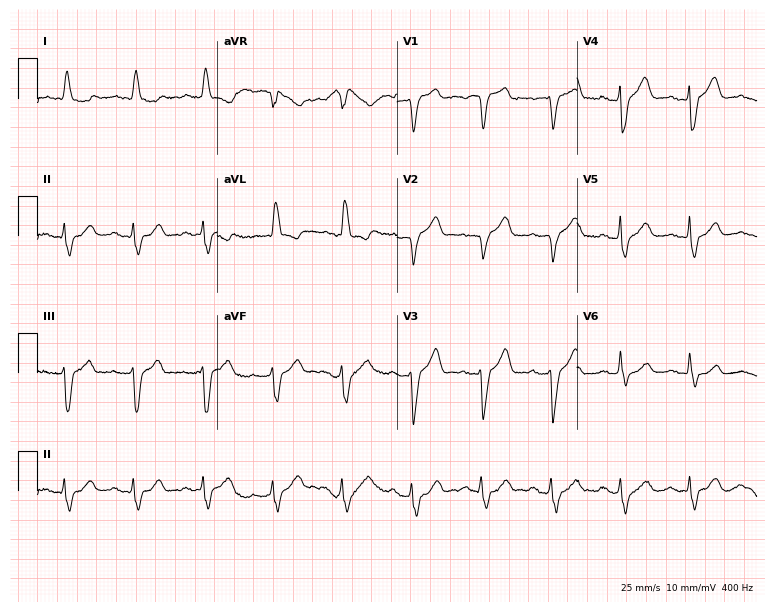
12-lead ECG from an 84-year-old female patient. Screened for six findings — first-degree AV block, right bundle branch block, left bundle branch block, sinus bradycardia, atrial fibrillation, sinus tachycardia — none is recorded.